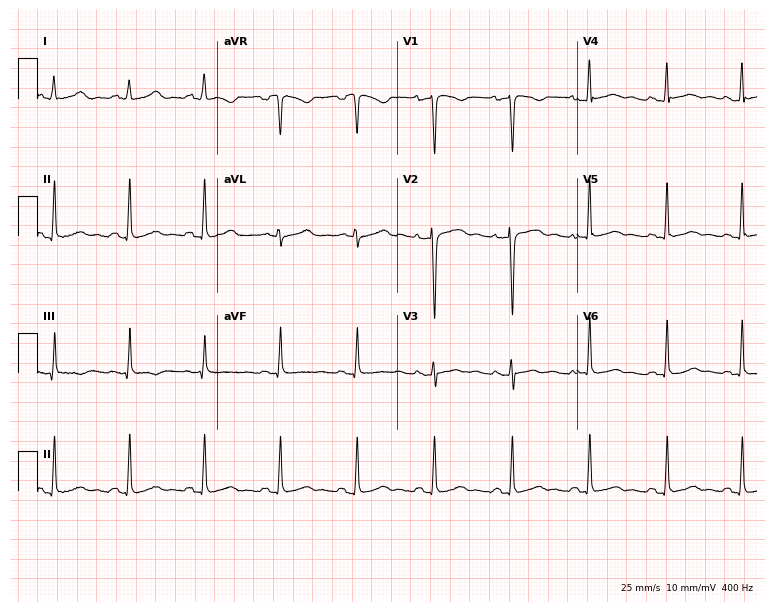
Resting 12-lead electrocardiogram (7.3-second recording at 400 Hz). Patient: a 34-year-old female. Read as a normal ECG.